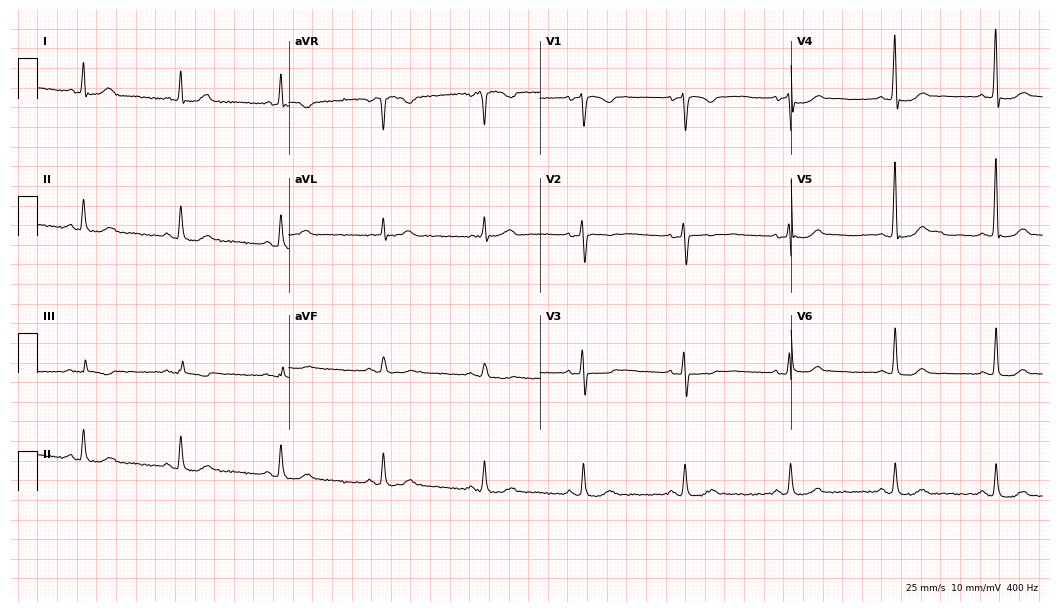
Resting 12-lead electrocardiogram. Patient: a 57-year-old woman. None of these six findings is recorded: first-degree AV block, right bundle branch block (RBBB), left bundle branch block (LBBB), sinus bradycardia, atrial fibrillation (AF), sinus tachycardia. Other findings, if any, are not listed.